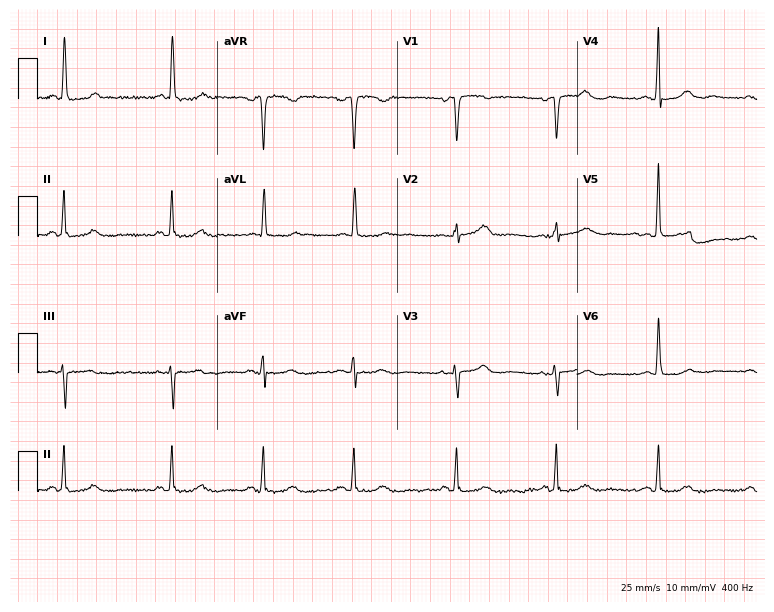
Electrocardiogram, a female patient, 66 years old. Of the six screened findings (first-degree AV block, right bundle branch block (RBBB), left bundle branch block (LBBB), sinus bradycardia, atrial fibrillation (AF), sinus tachycardia), none is recorded.